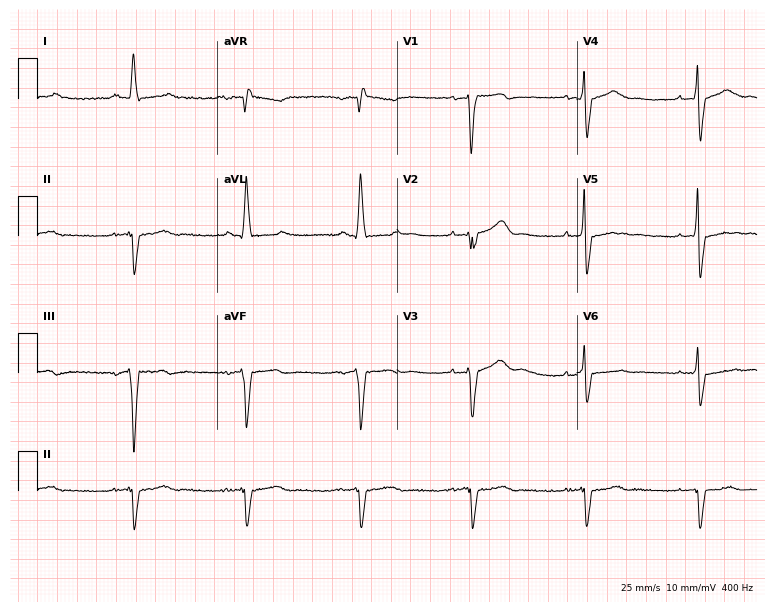
Standard 12-lead ECG recorded from a 73-year-old male patient (7.3-second recording at 400 Hz). The tracing shows left bundle branch block (LBBB).